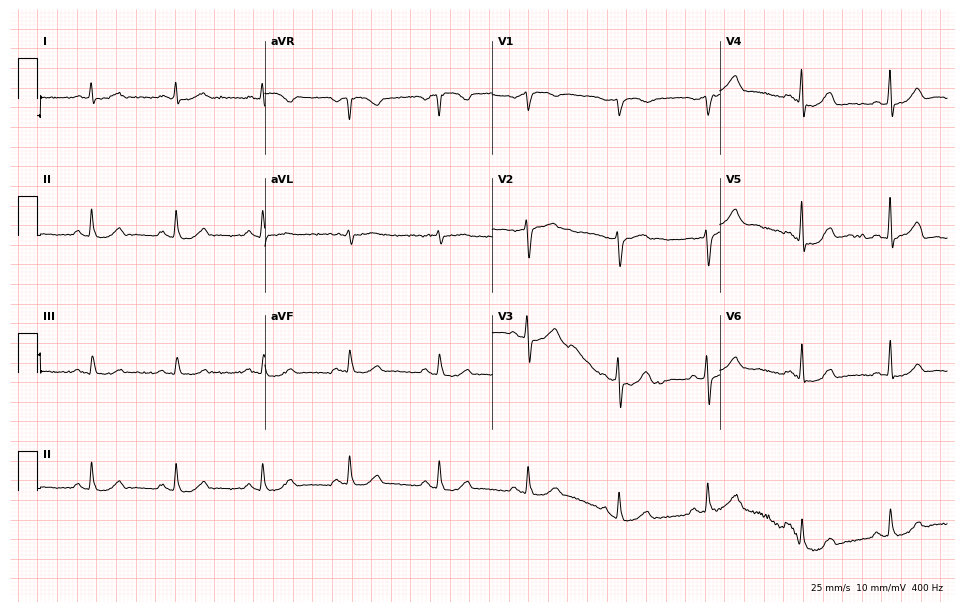
12-lead ECG from a 69-year-old man. Recorded interpretation: within normal limits.